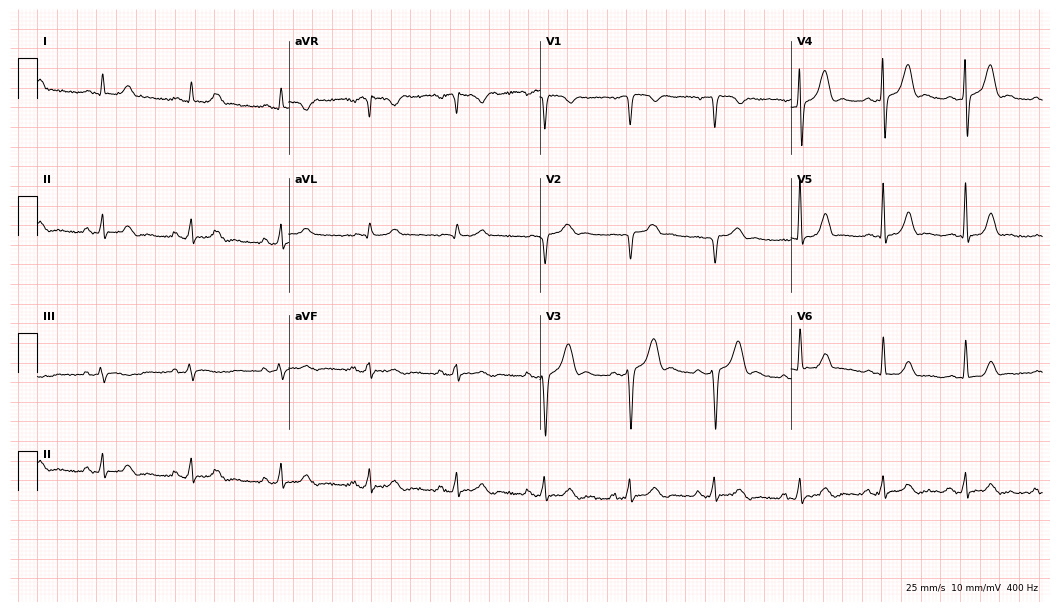
ECG — a 42-year-old man. Screened for six findings — first-degree AV block, right bundle branch block (RBBB), left bundle branch block (LBBB), sinus bradycardia, atrial fibrillation (AF), sinus tachycardia — none is recorded.